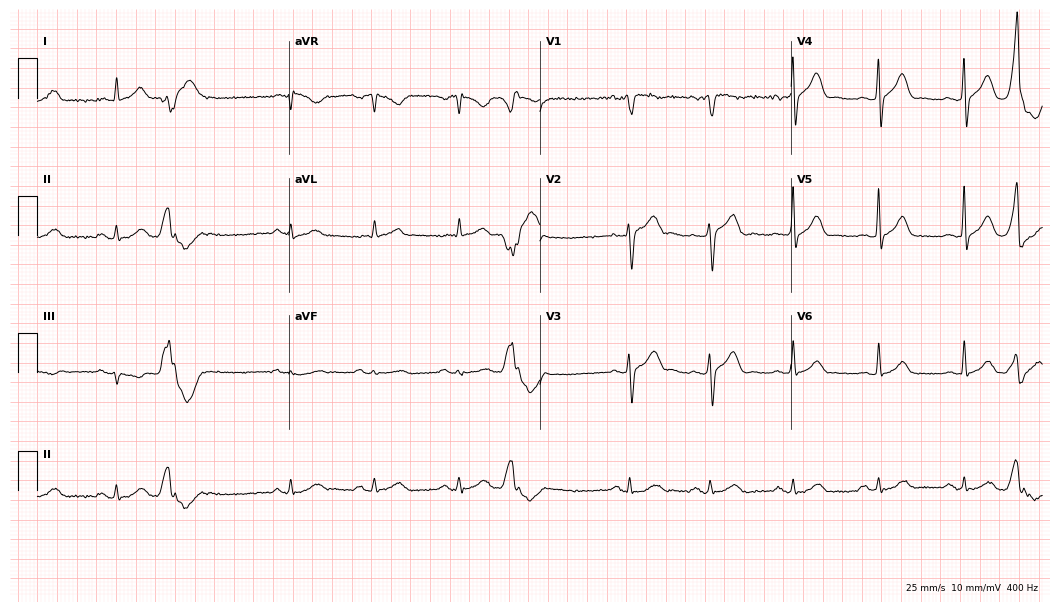
Resting 12-lead electrocardiogram. Patient: a 57-year-old male. None of these six findings is recorded: first-degree AV block, right bundle branch block, left bundle branch block, sinus bradycardia, atrial fibrillation, sinus tachycardia. Only these six findings were labelled.